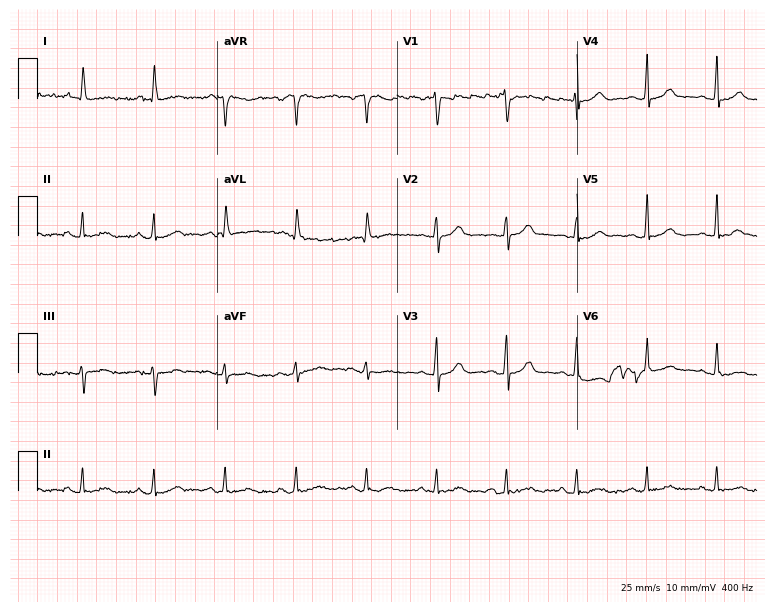
ECG — a female patient, 62 years old. Labelled as a normal ECG.